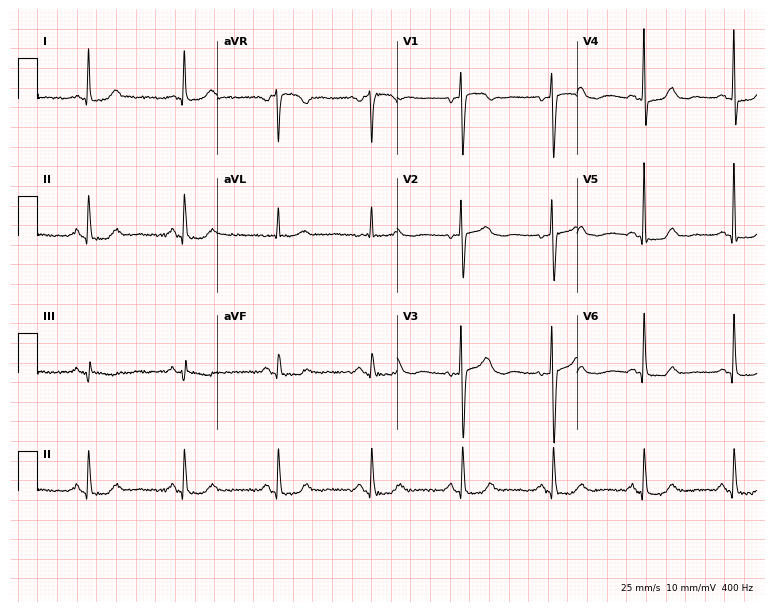
Resting 12-lead electrocardiogram (7.3-second recording at 400 Hz). Patient: a woman, 71 years old. Read as a normal ECG.